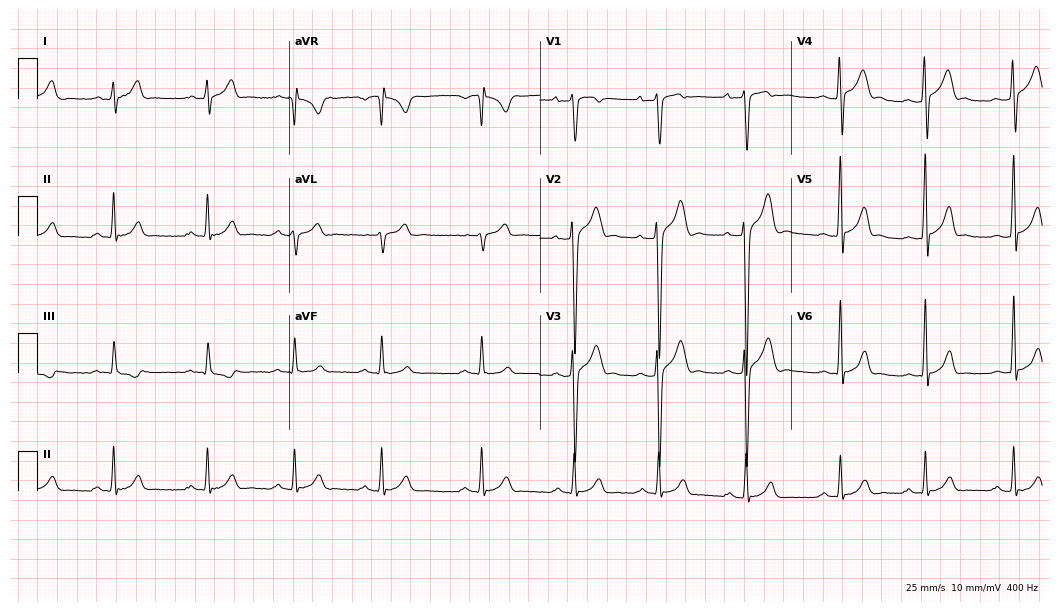
12-lead ECG from a male patient, 18 years old. Screened for six findings — first-degree AV block, right bundle branch block (RBBB), left bundle branch block (LBBB), sinus bradycardia, atrial fibrillation (AF), sinus tachycardia — none is recorded. Only these six findings were labelled.